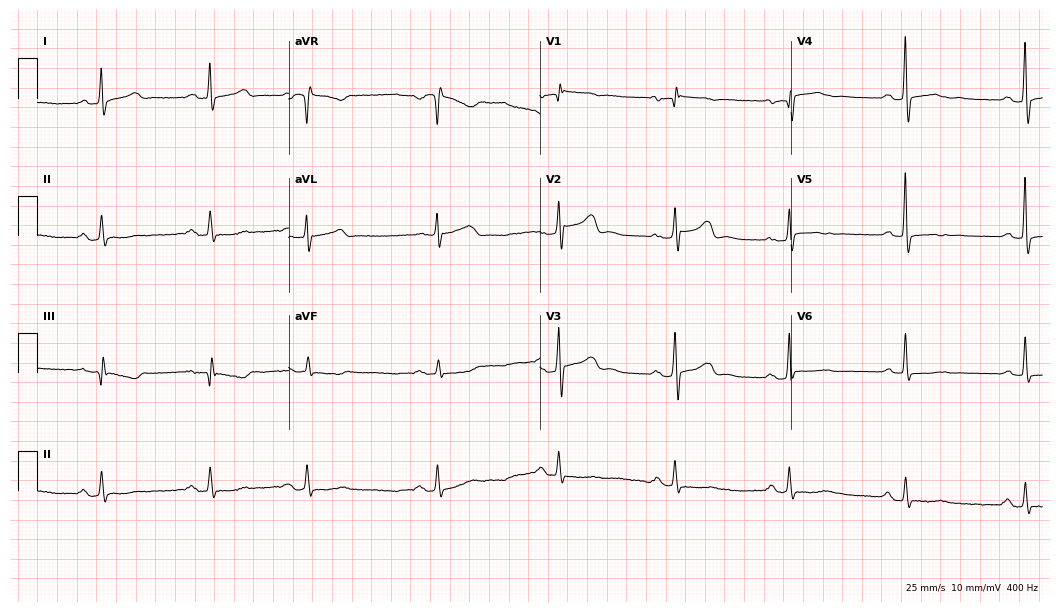
12-lead ECG (10.2-second recording at 400 Hz) from a woman, 72 years old. Screened for six findings — first-degree AV block, right bundle branch block, left bundle branch block, sinus bradycardia, atrial fibrillation, sinus tachycardia — none is recorded. Other findings, if any, are not listed.